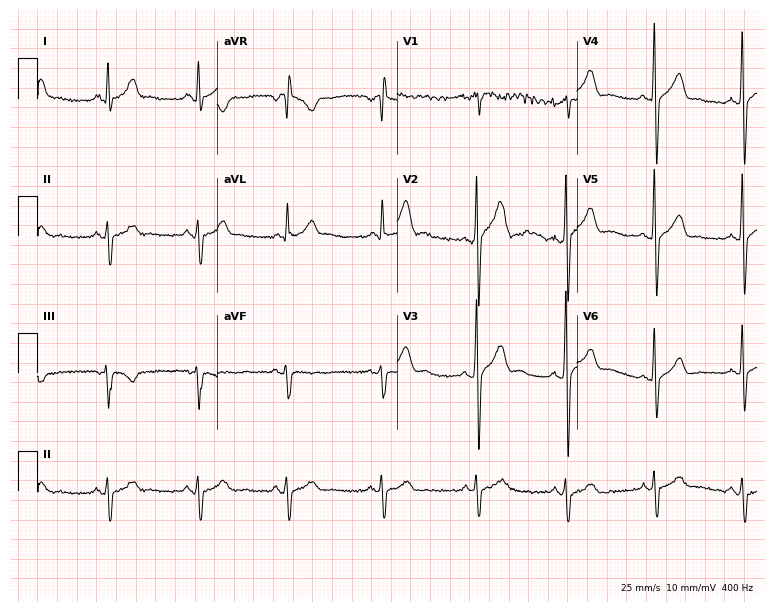
12-lead ECG from a male, 45 years old. Screened for six findings — first-degree AV block, right bundle branch block, left bundle branch block, sinus bradycardia, atrial fibrillation, sinus tachycardia — none is recorded. Only these six findings were labelled.